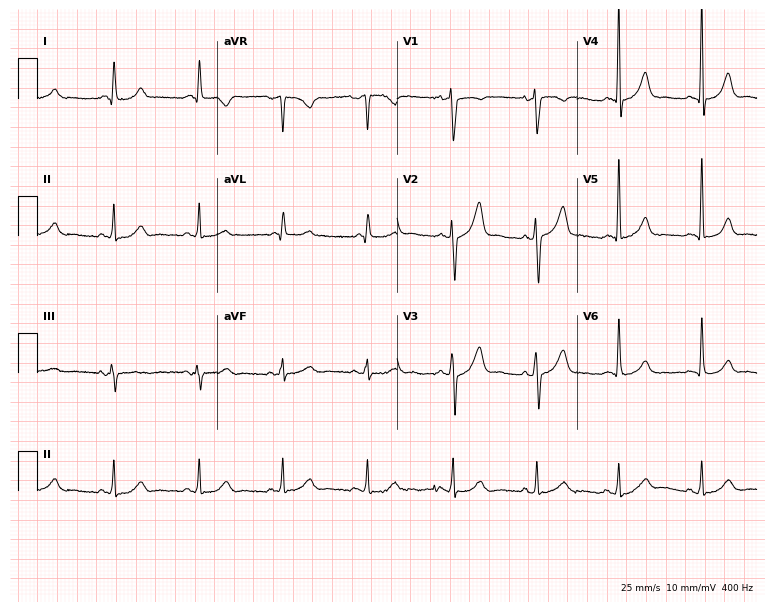
12-lead ECG from a man, 56 years old. Labelled as a normal ECG.